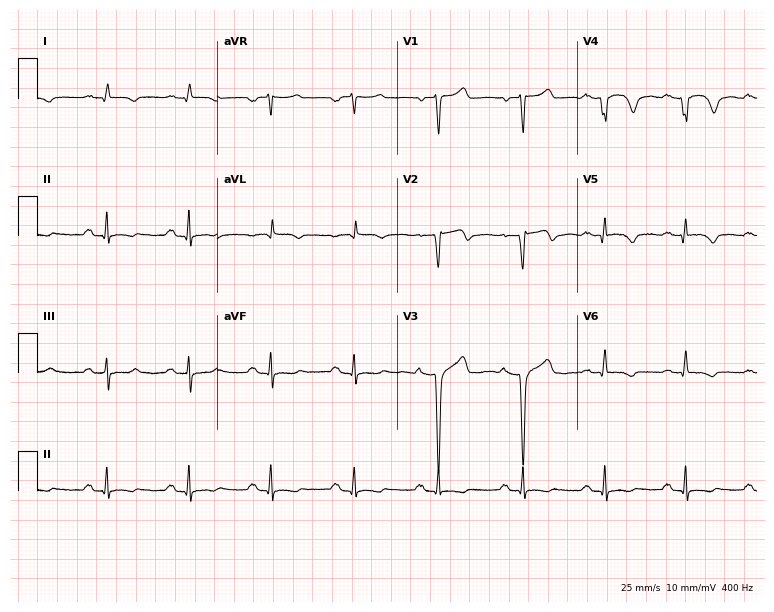
ECG (7.3-second recording at 400 Hz) — a male patient, 68 years old. Screened for six findings — first-degree AV block, right bundle branch block (RBBB), left bundle branch block (LBBB), sinus bradycardia, atrial fibrillation (AF), sinus tachycardia — none is recorded. Only these six findings were labelled.